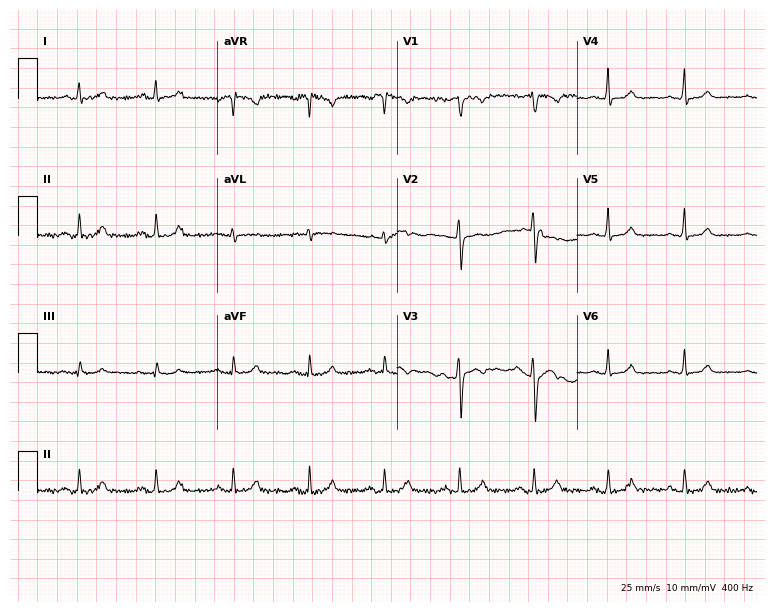
Resting 12-lead electrocardiogram (7.3-second recording at 400 Hz). Patient: a 27-year-old female. Read as a normal ECG.